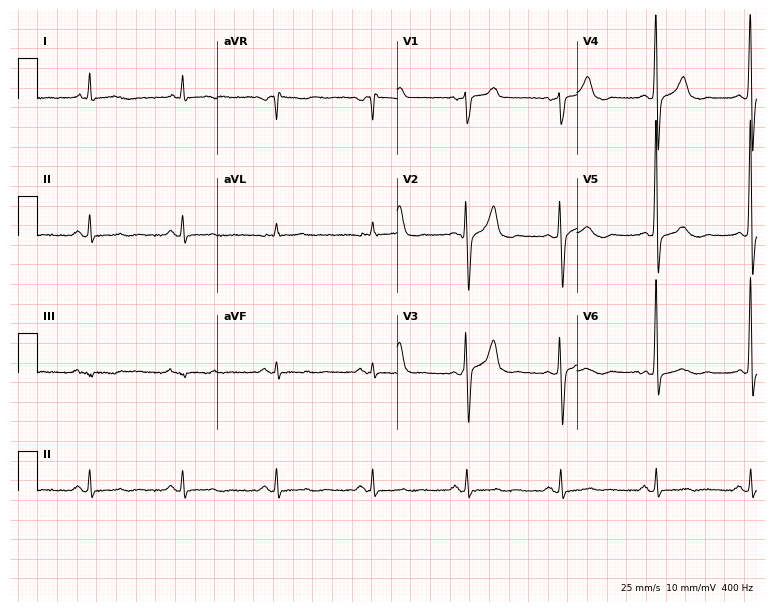
12-lead ECG (7.3-second recording at 400 Hz) from a male, 77 years old. Screened for six findings — first-degree AV block, right bundle branch block, left bundle branch block, sinus bradycardia, atrial fibrillation, sinus tachycardia — none is recorded.